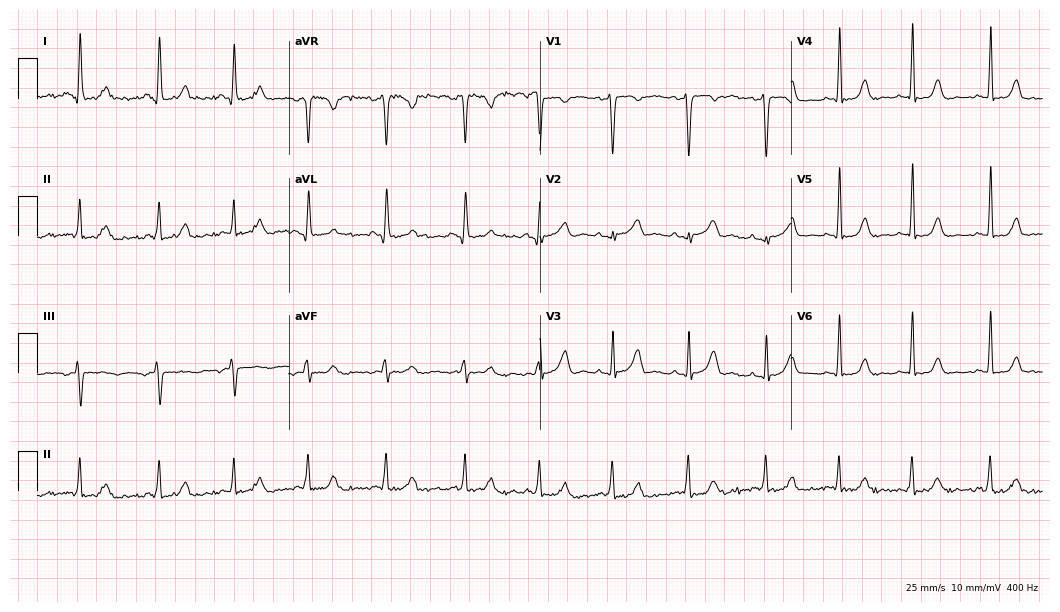
12-lead ECG from a 29-year-old woman. Screened for six findings — first-degree AV block, right bundle branch block, left bundle branch block, sinus bradycardia, atrial fibrillation, sinus tachycardia — none is recorded.